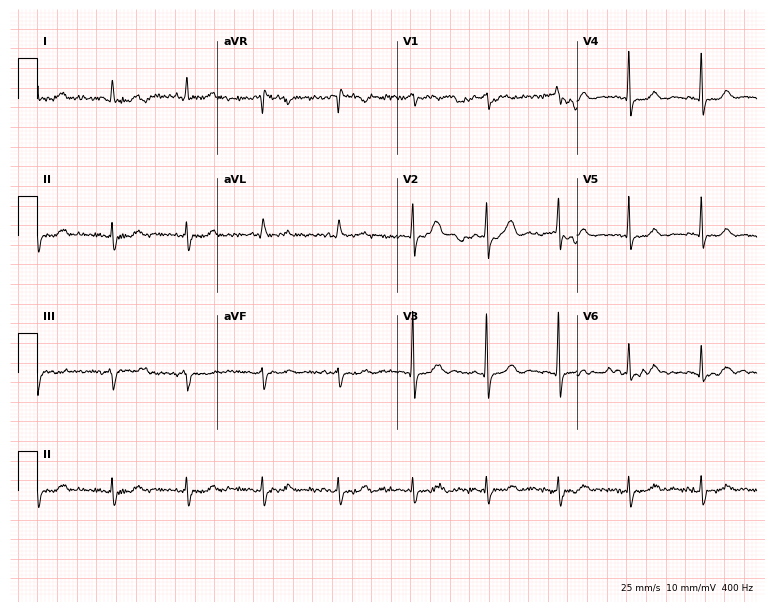
Standard 12-lead ECG recorded from a female patient, 76 years old. None of these six findings is recorded: first-degree AV block, right bundle branch block (RBBB), left bundle branch block (LBBB), sinus bradycardia, atrial fibrillation (AF), sinus tachycardia. Findings outside these six are not listed.